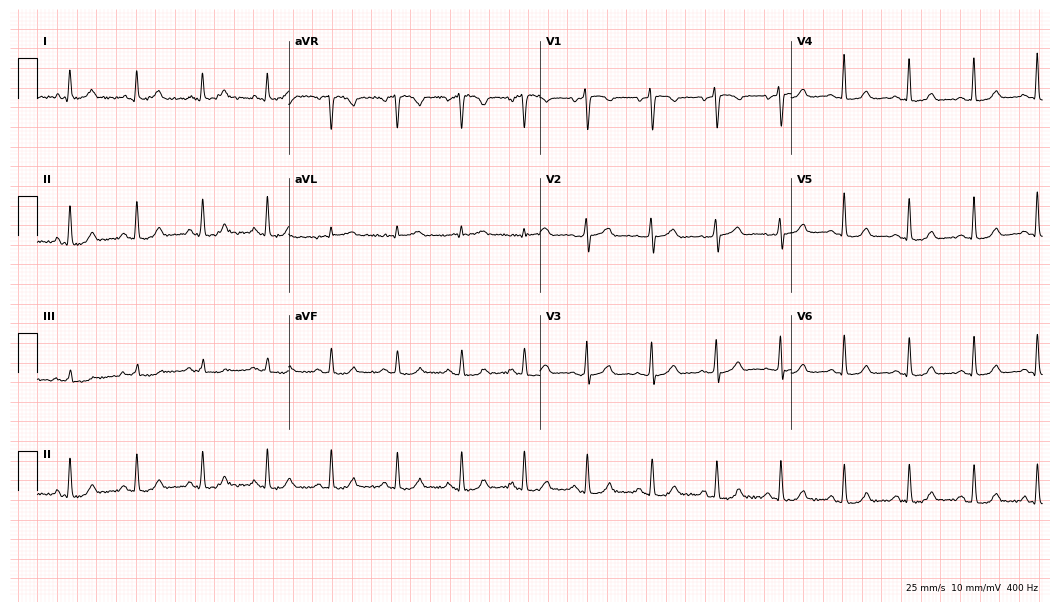
Resting 12-lead electrocardiogram. Patient: a woman, 50 years old. Read as a normal ECG.